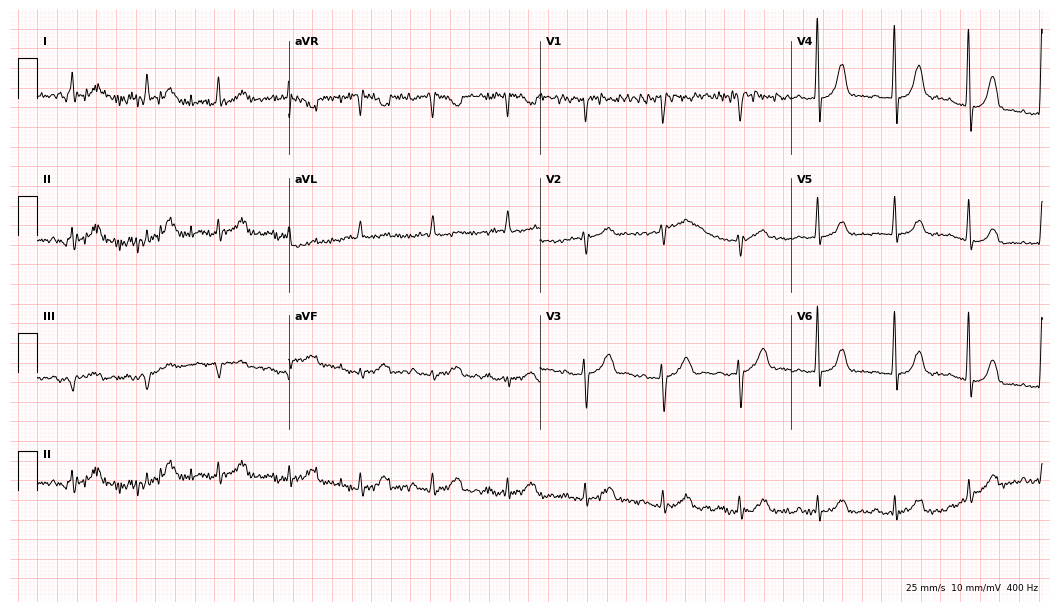
12-lead ECG (10.2-second recording at 400 Hz) from a female patient, 81 years old. Screened for six findings — first-degree AV block, right bundle branch block, left bundle branch block, sinus bradycardia, atrial fibrillation, sinus tachycardia — none is recorded. Other findings, if any, are not listed.